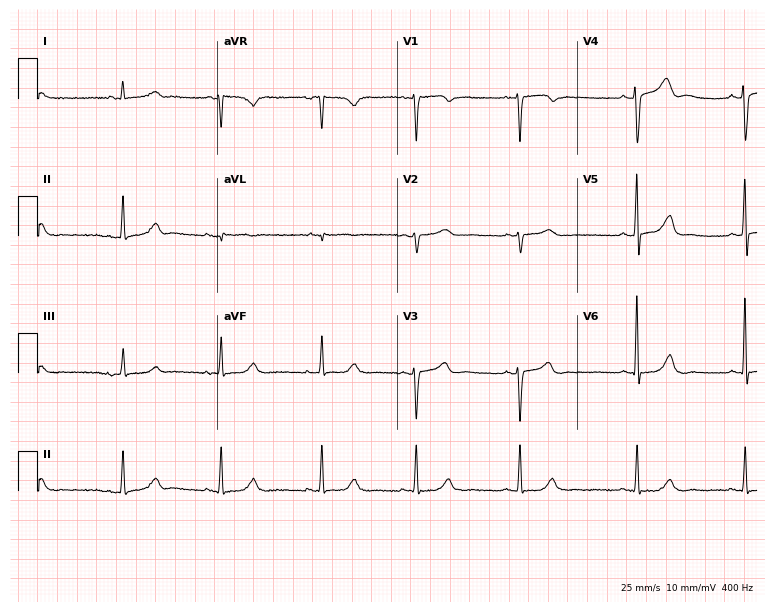
ECG (7.3-second recording at 400 Hz) — a 45-year-old female patient. Screened for six findings — first-degree AV block, right bundle branch block (RBBB), left bundle branch block (LBBB), sinus bradycardia, atrial fibrillation (AF), sinus tachycardia — none is recorded.